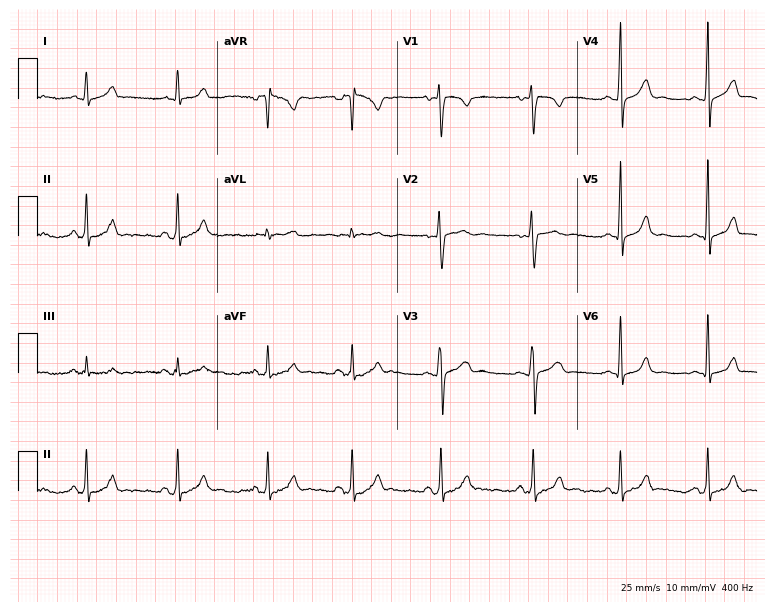
Standard 12-lead ECG recorded from an 18-year-old female patient (7.3-second recording at 400 Hz). Read as a normal ECG.